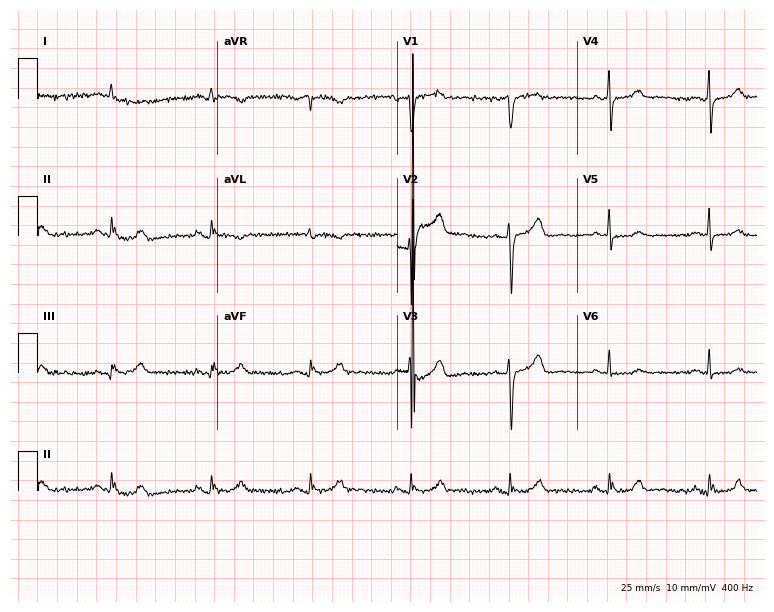
Standard 12-lead ECG recorded from a 74-year-old male. None of these six findings is recorded: first-degree AV block, right bundle branch block, left bundle branch block, sinus bradycardia, atrial fibrillation, sinus tachycardia. Other findings, if any, are not listed.